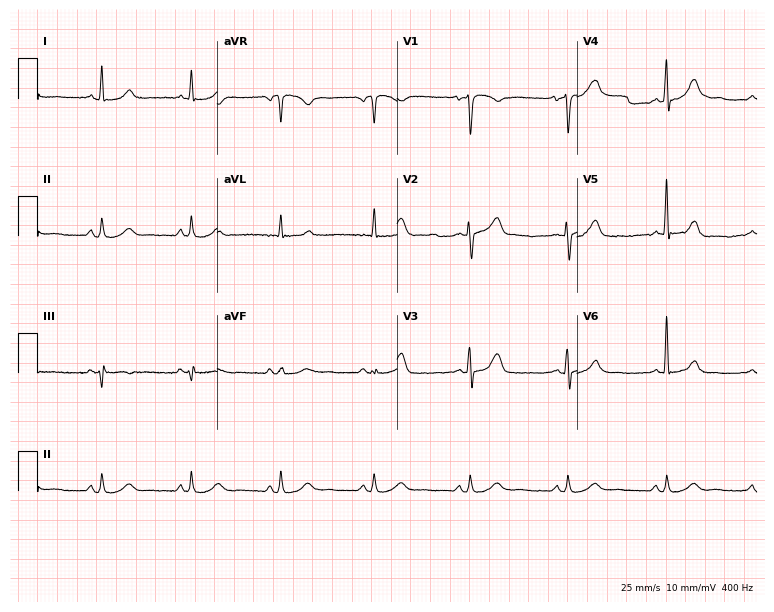
Electrocardiogram, a 50-year-old female. Overall reading on record: normal ECG.